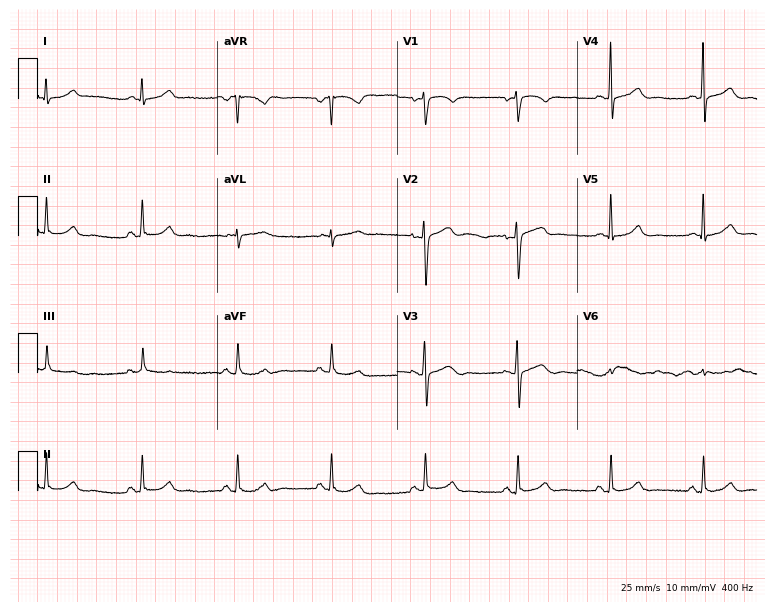
Standard 12-lead ECG recorded from a male, 70 years old. None of these six findings is recorded: first-degree AV block, right bundle branch block, left bundle branch block, sinus bradycardia, atrial fibrillation, sinus tachycardia.